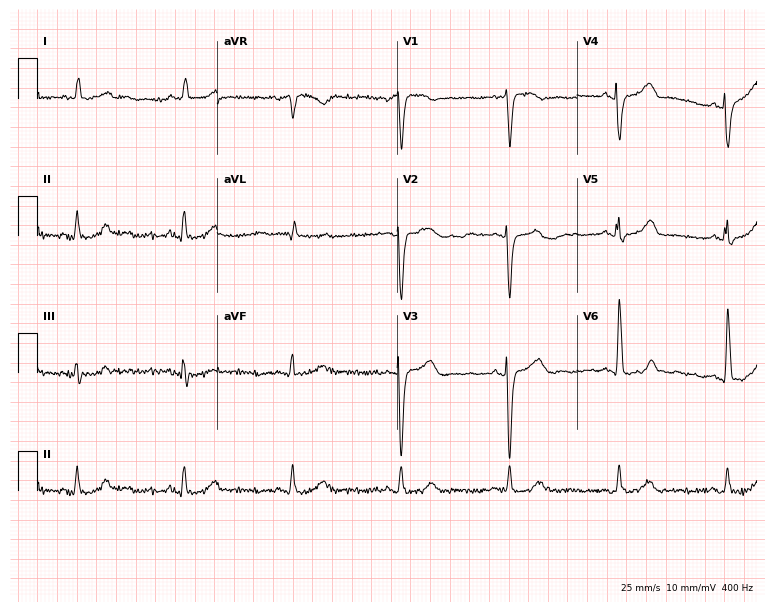
12-lead ECG (7.3-second recording at 400 Hz) from a man, 70 years old. Screened for six findings — first-degree AV block, right bundle branch block (RBBB), left bundle branch block (LBBB), sinus bradycardia, atrial fibrillation (AF), sinus tachycardia — none is recorded.